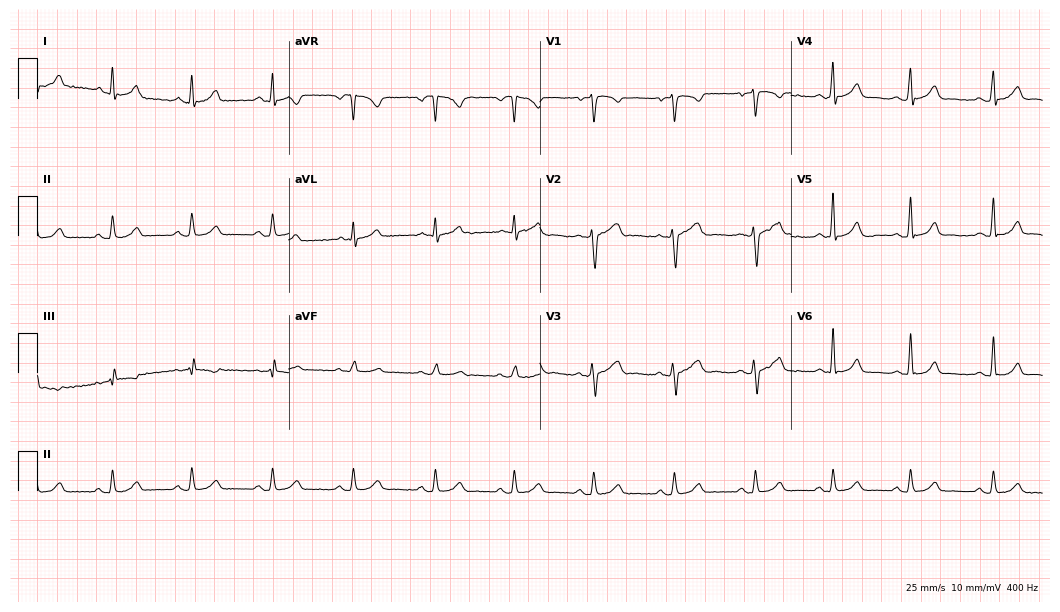
Standard 12-lead ECG recorded from a male patient, 24 years old. None of these six findings is recorded: first-degree AV block, right bundle branch block, left bundle branch block, sinus bradycardia, atrial fibrillation, sinus tachycardia.